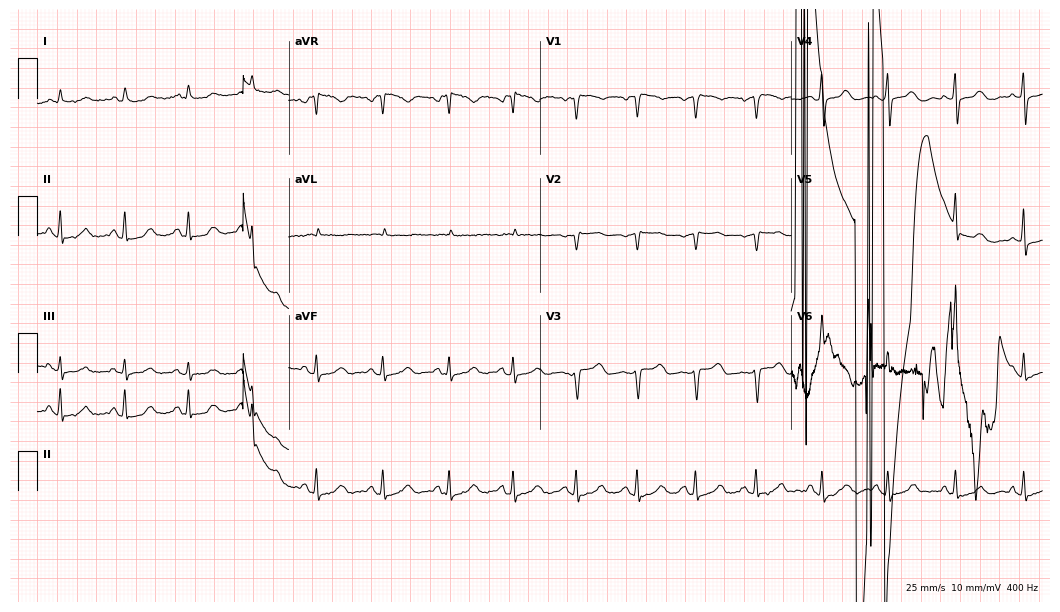
12-lead ECG from a 53-year-old female patient (10.2-second recording at 400 Hz). No first-degree AV block, right bundle branch block (RBBB), left bundle branch block (LBBB), sinus bradycardia, atrial fibrillation (AF) or sinus tachycardia recorded for this tracing.